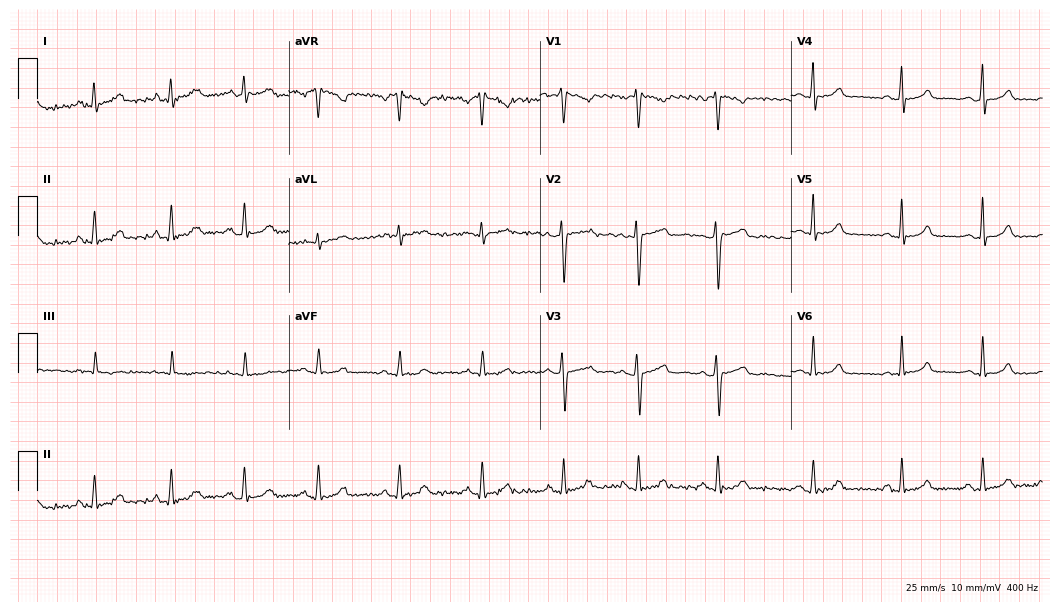
Standard 12-lead ECG recorded from a 27-year-old female patient. Read as a normal ECG.